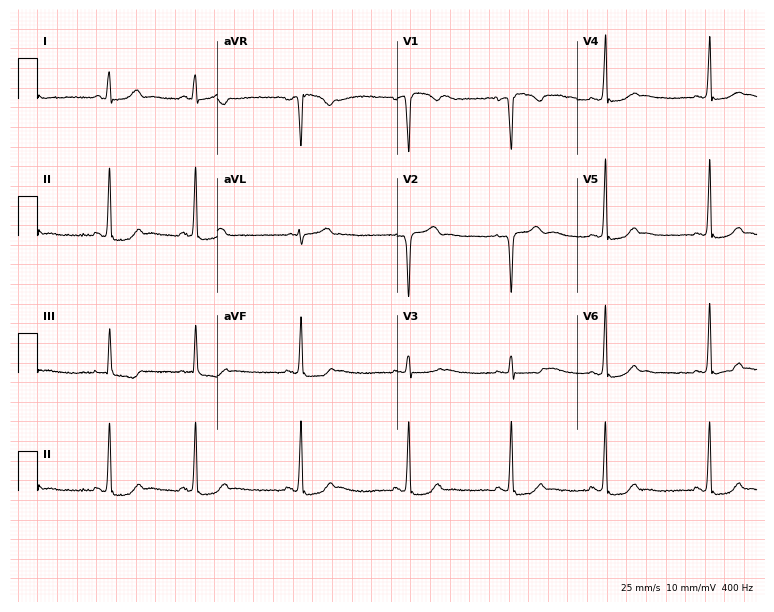
12-lead ECG from a woman, 28 years old. Labelled as a normal ECG.